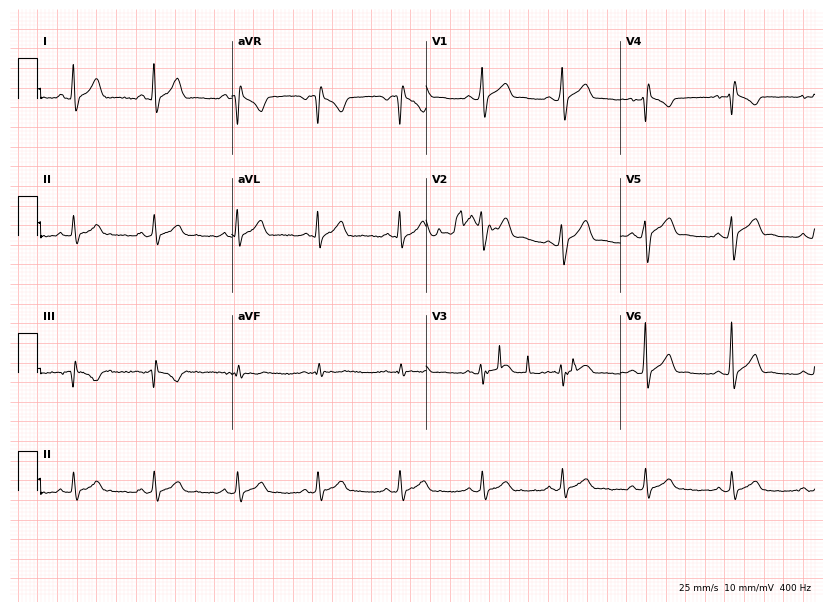
Electrocardiogram (7.9-second recording at 400 Hz), a 24-year-old male patient. Of the six screened findings (first-degree AV block, right bundle branch block (RBBB), left bundle branch block (LBBB), sinus bradycardia, atrial fibrillation (AF), sinus tachycardia), none is recorded.